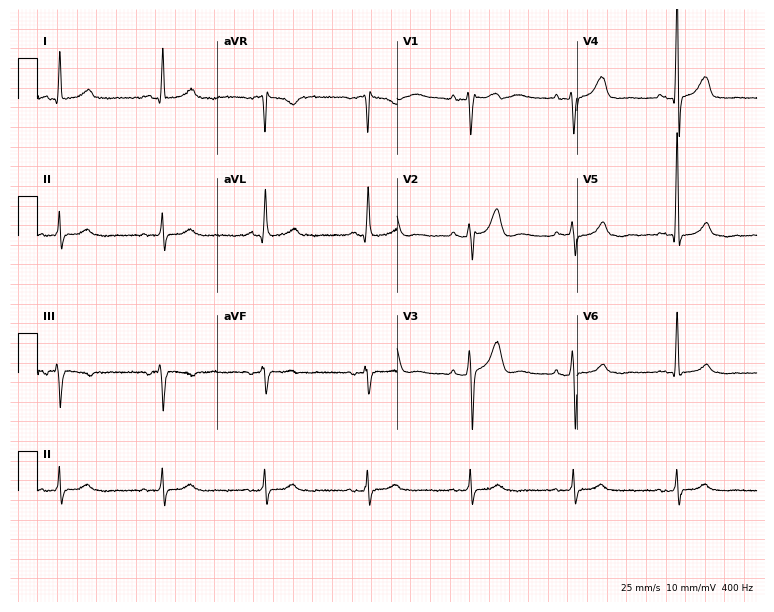
Electrocardiogram, a 79-year-old male. Of the six screened findings (first-degree AV block, right bundle branch block (RBBB), left bundle branch block (LBBB), sinus bradycardia, atrial fibrillation (AF), sinus tachycardia), none is recorded. Other findings, if any, are not listed.